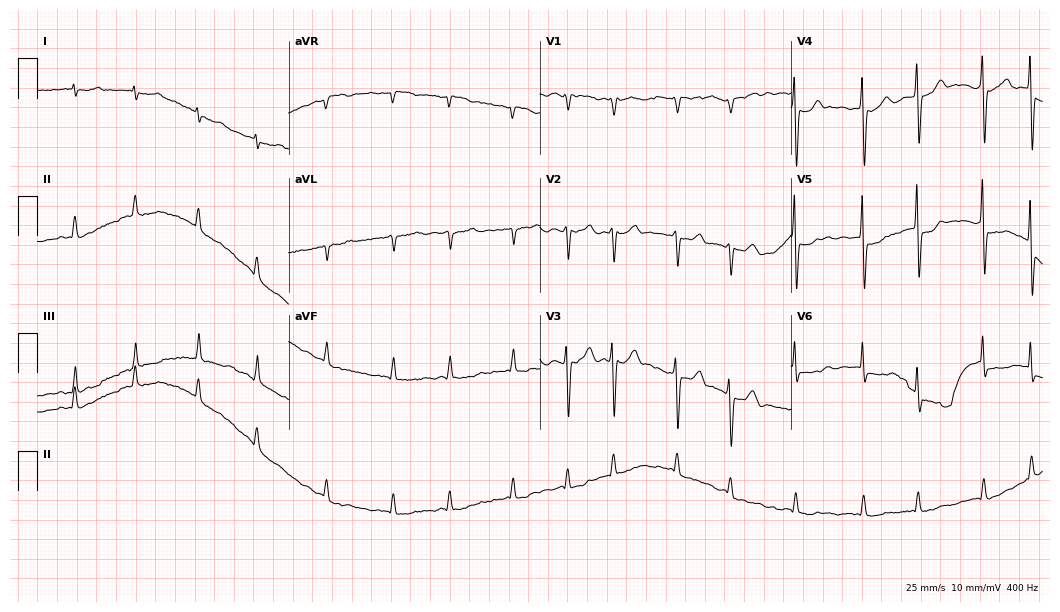
Resting 12-lead electrocardiogram (10.2-second recording at 400 Hz). Patient: an 82-year-old male. The tracing shows atrial fibrillation.